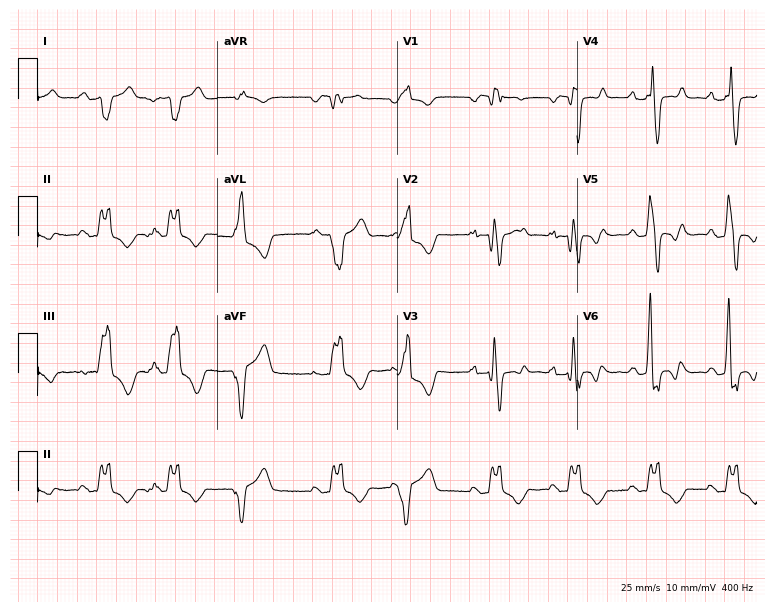
12-lead ECG (7.3-second recording at 400 Hz) from a male patient, 54 years old. Findings include right bundle branch block.